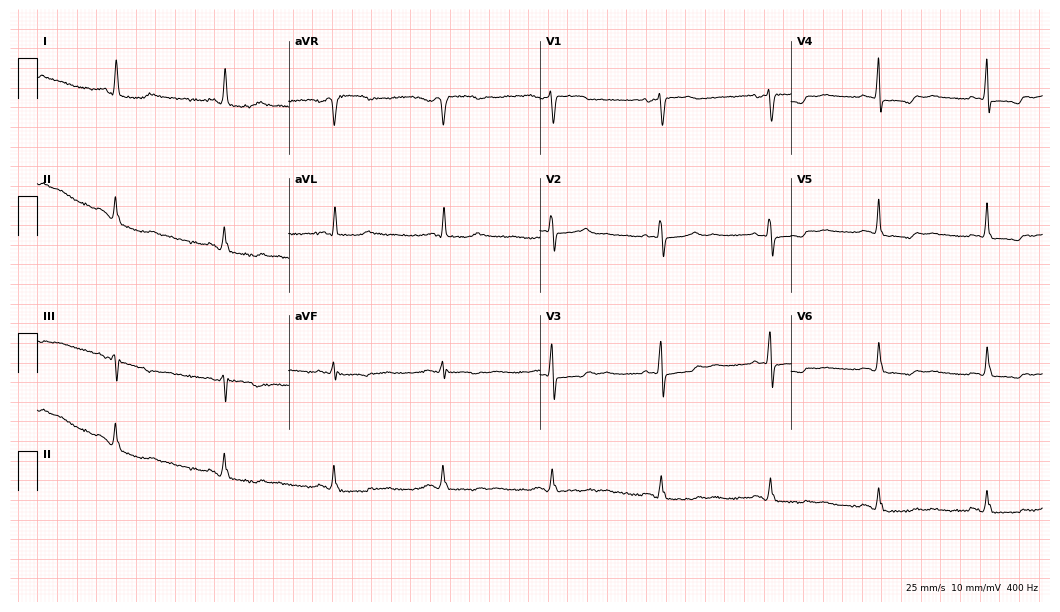
Standard 12-lead ECG recorded from a woman, 60 years old (10.2-second recording at 400 Hz). None of these six findings is recorded: first-degree AV block, right bundle branch block, left bundle branch block, sinus bradycardia, atrial fibrillation, sinus tachycardia.